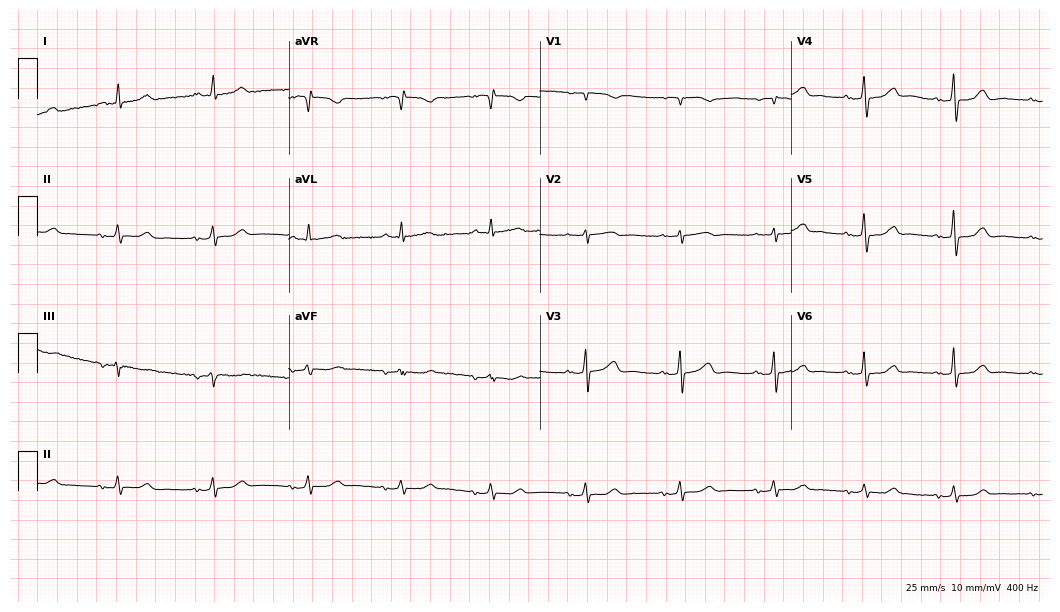
Standard 12-lead ECG recorded from an 83-year-old female (10.2-second recording at 400 Hz). None of these six findings is recorded: first-degree AV block, right bundle branch block, left bundle branch block, sinus bradycardia, atrial fibrillation, sinus tachycardia. Other findings, if any, are not listed.